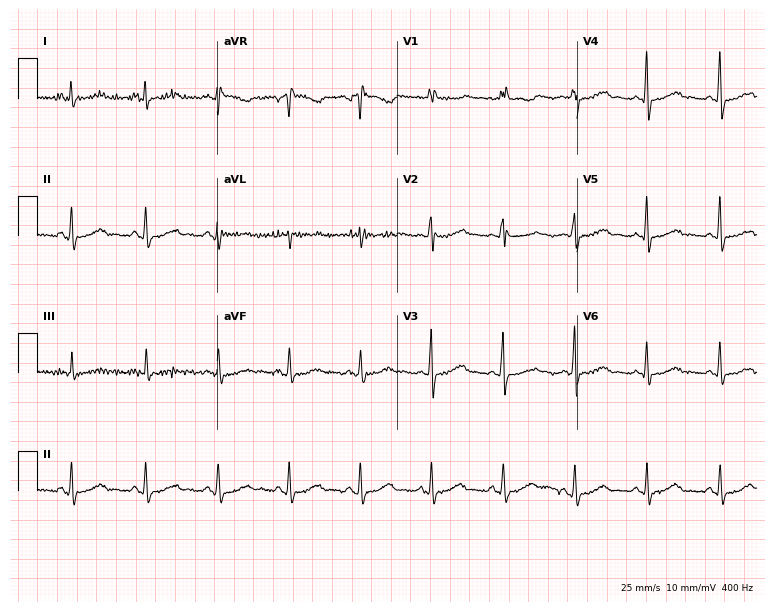
12-lead ECG from a female, 59 years old. Screened for six findings — first-degree AV block, right bundle branch block (RBBB), left bundle branch block (LBBB), sinus bradycardia, atrial fibrillation (AF), sinus tachycardia — none is recorded.